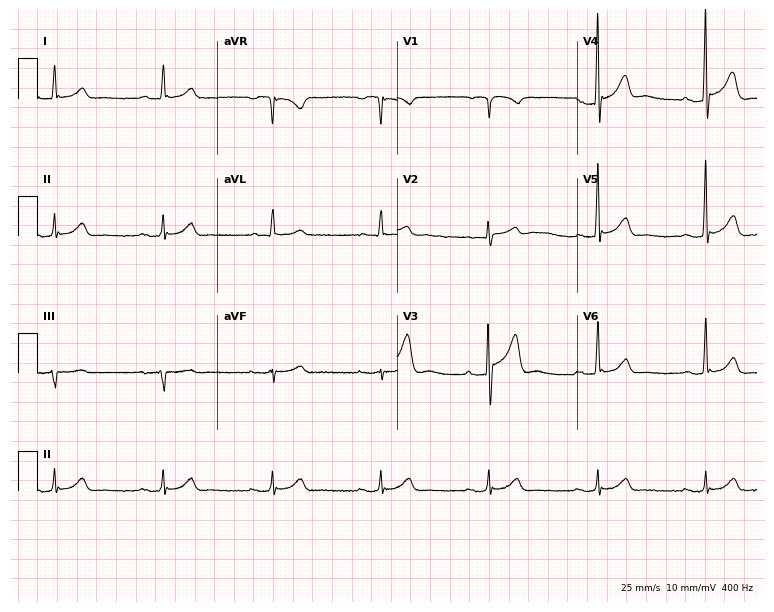
12-lead ECG from a man, 35 years old. Recorded interpretation: within normal limits.